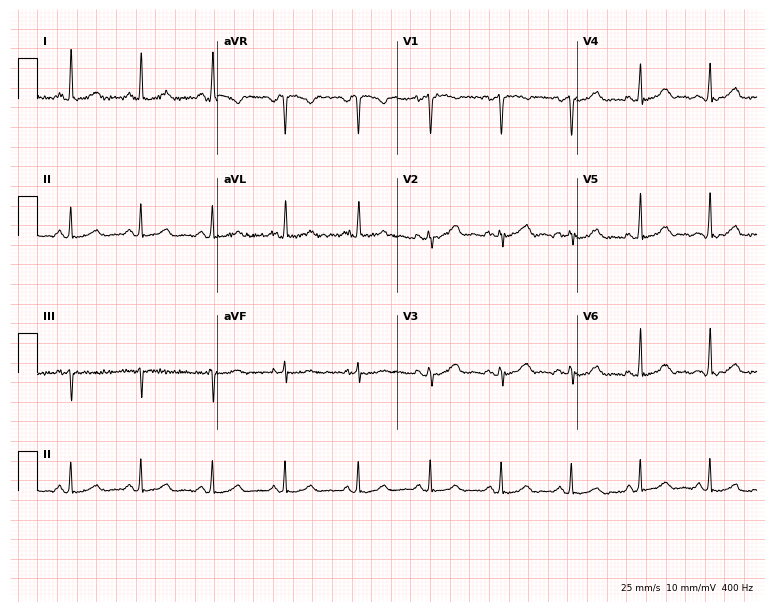
12-lead ECG (7.3-second recording at 400 Hz) from a female patient, 36 years old. Labelled as a normal ECG.